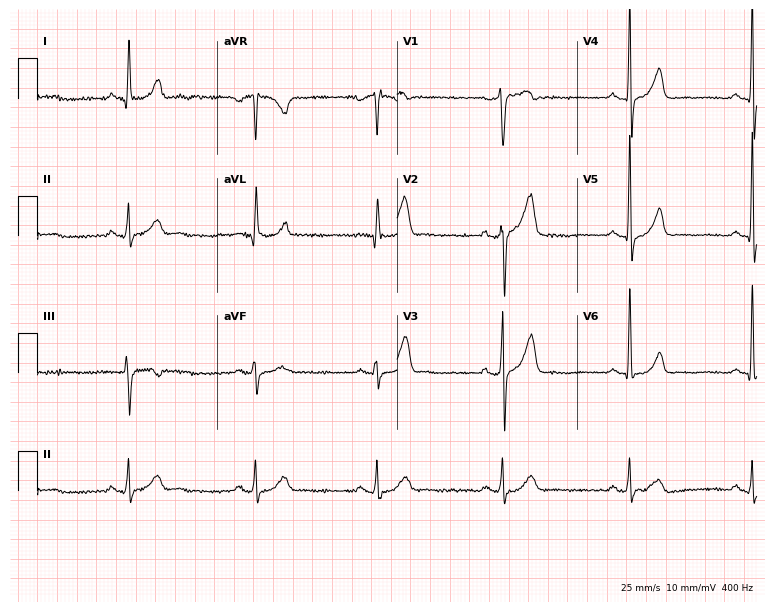
Standard 12-lead ECG recorded from a male patient, 46 years old (7.3-second recording at 400 Hz). None of these six findings is recorded: first-degree AV block, right bundle branch block (RBBB), left bundle branch block (LBBB), sinus bradycardia, atrial fibrillation (AF), sinus tachycardia.